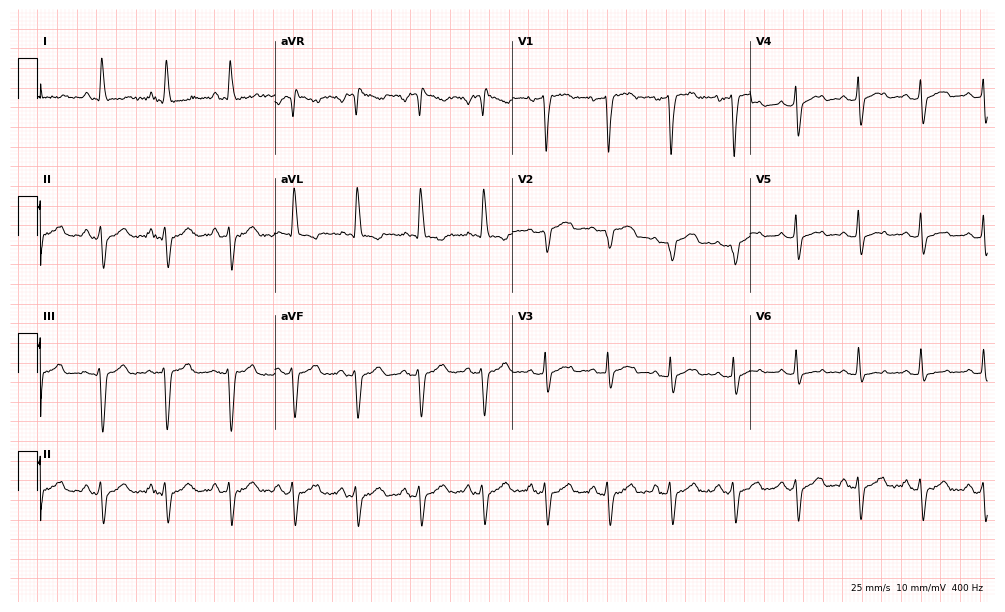
Resting 12-lead electrocardiogram. Patient: a female, 50 years old. None of these six findings is recorded: first-degree AV block, right bundle branch block, left bundle branch block, sinus bradycardia, atrial fibrillation, sinus tachycardia.